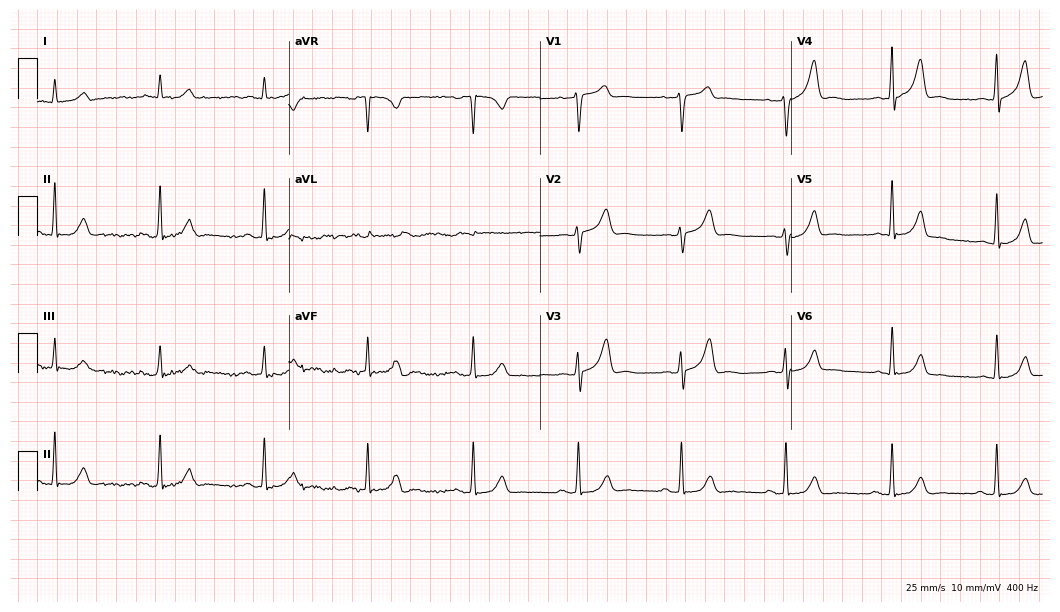
Resting 12-lead electrocardiogram. Patient: a 56-year-old male. Read as a normal ECG.